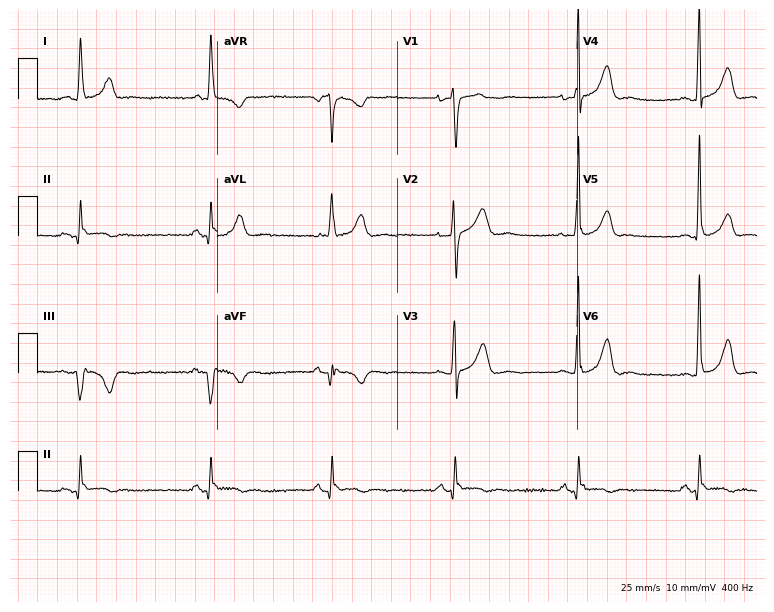
Resting 12-lead electrocardiogram (7.3-second recording at 400 Hz). Patient: a woman, 85 years old. None of these six findings is recorded: first-degree AV block, right bundle branch block, left bundle branch block, sinus bradycardia, atrial fibrillation, sinus tachycardia. Findings outside these six are not listed.